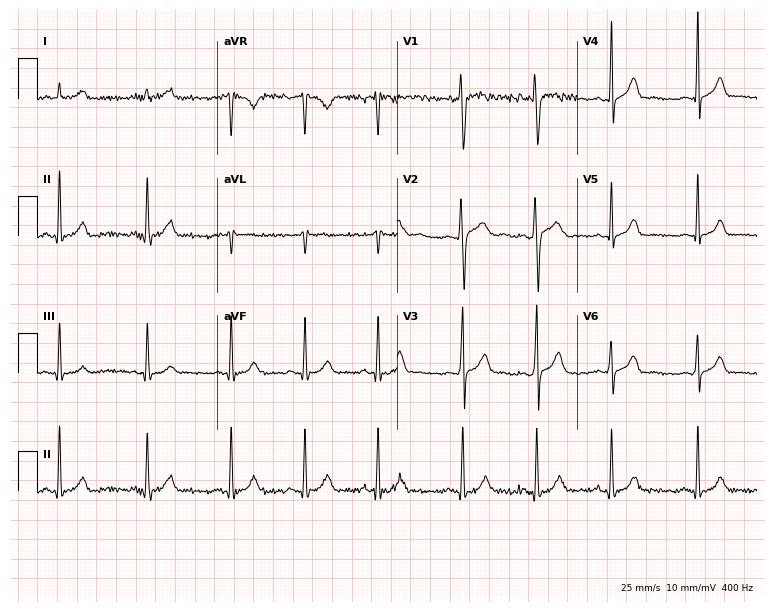
Resting 12-lead electrocardiogram. Patient: a male, 21 years old. None of these six findings is recorded: first-degree AV block, right bundle branch block, left bundle branch block, sinus bradycardia, atrial fibrillation, sinus tachycardia.